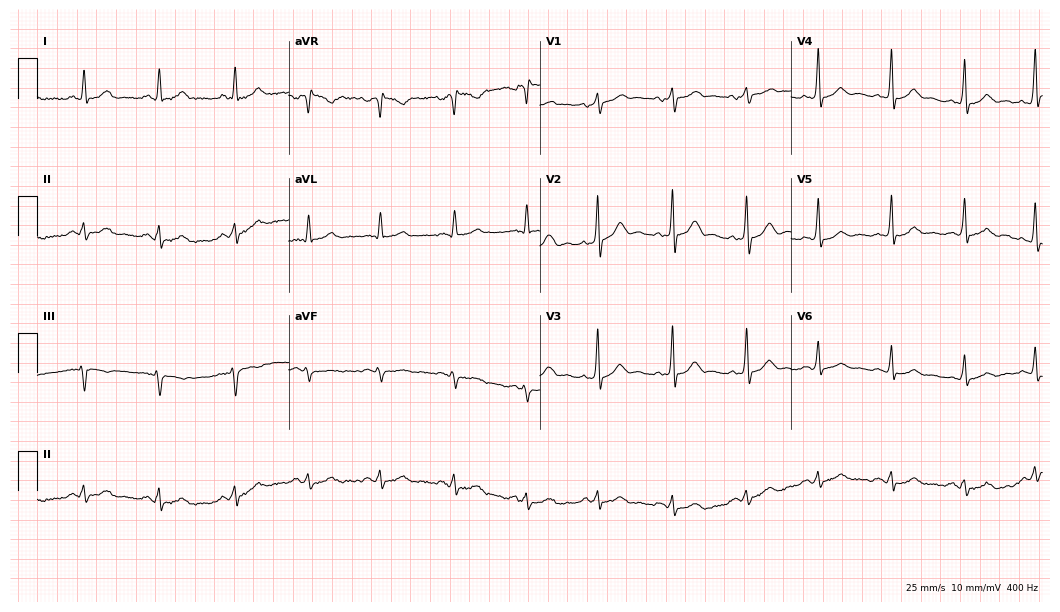
12-lead ECG from a male patient, 42 years old (10.2-second recording at 400 Hz). Recorded interpretation: within normal limits.